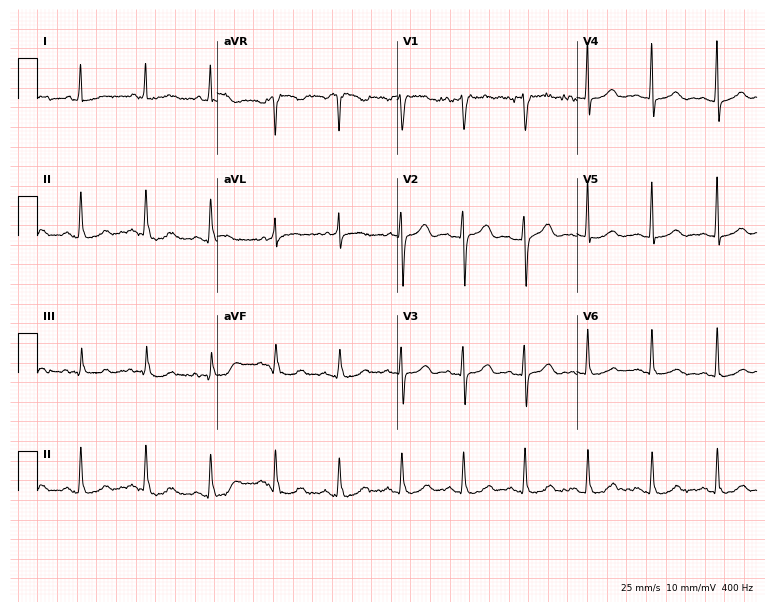
Standard 12-lead ECG recorded from a female, 57 years old. None of these six findings is recorded: first-degree AV block, right bundle branch block (RBBB), left bundle branch block (LBBB), sinus bradycardia, atrial fibrillation (AF), sinus tachycardia.